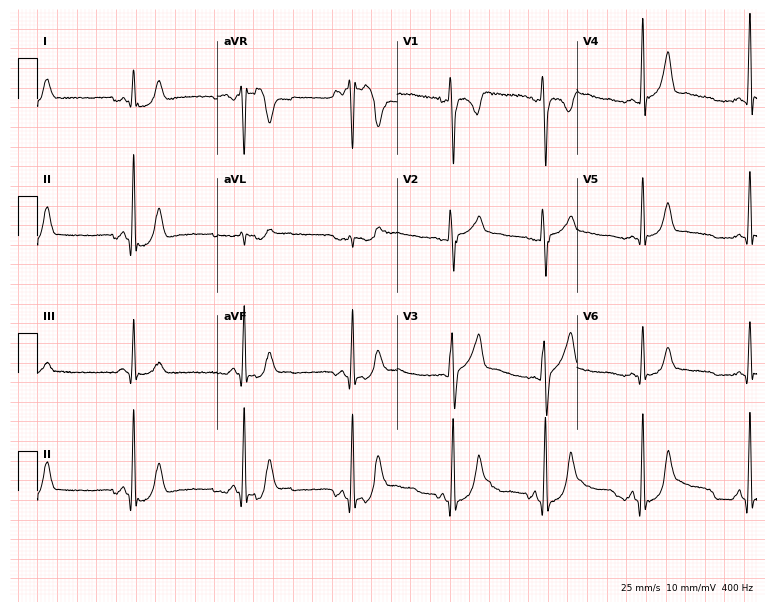
ECG — a 29-year-old male patient. Labelled as a normal ECG.